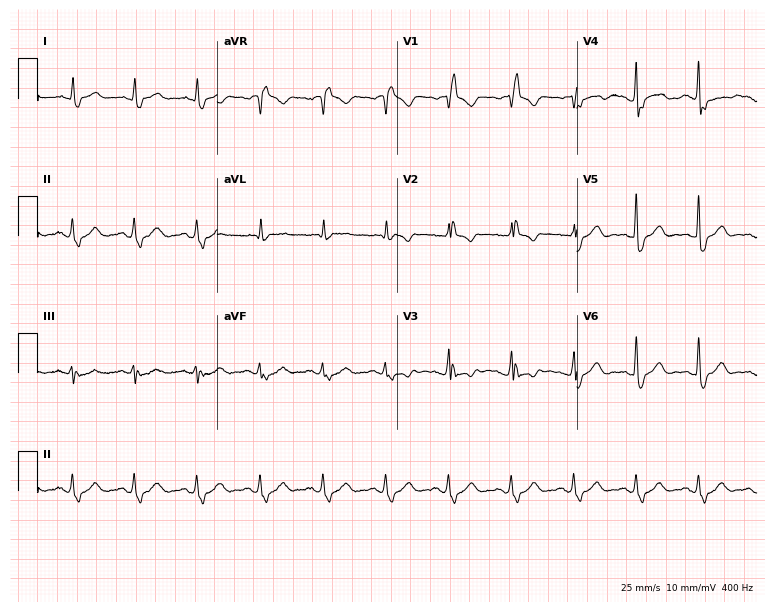
ECG — a 78-year-old male. Findings include right bundle branch block.